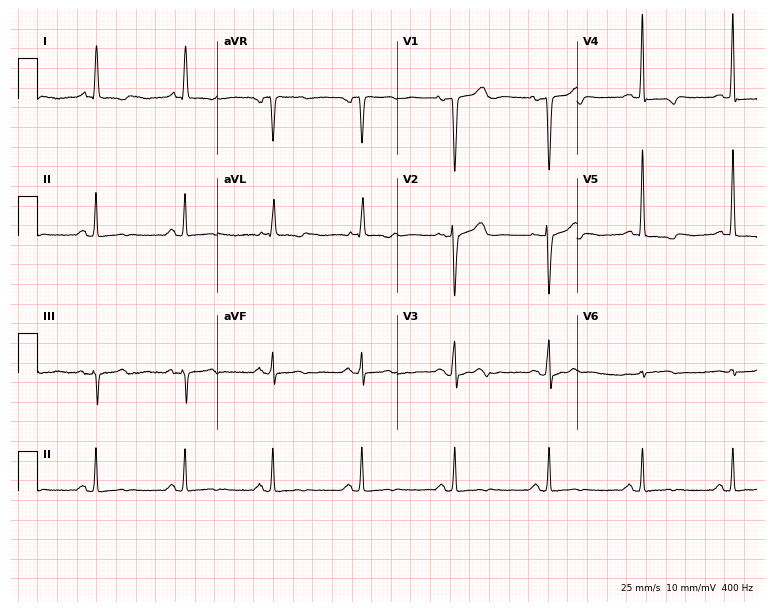
Resting 12-lead electrocardiogram. Patient: a 72-year-old female. None of these six findings is recorded: first-degree AV block, right bundle branch block (RBBB), left bundle branch block (LBBB), sinus bradycardia, atrial fibrillation (AF), sinus tachycardia. Findings outside these six are not listed.